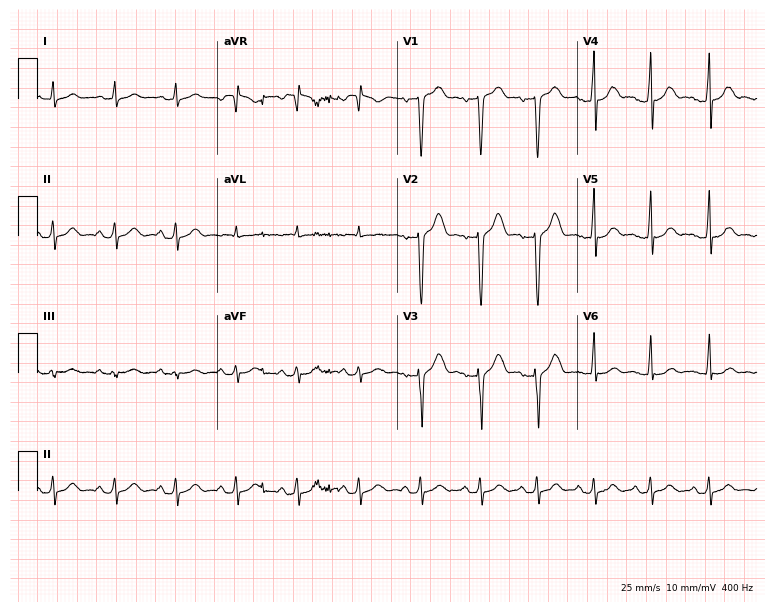
Resting 12-lead electrocardiogram (7.3-second recording at 400 Hz). Patient: a 24-year-old male. None of these six findings is recorded: first-degree AV block, right bundle branch block, left bundle branch block, sinus bradycardia, atrial fibrillation, sinus tachycardia. Findings outside these six are not listed.